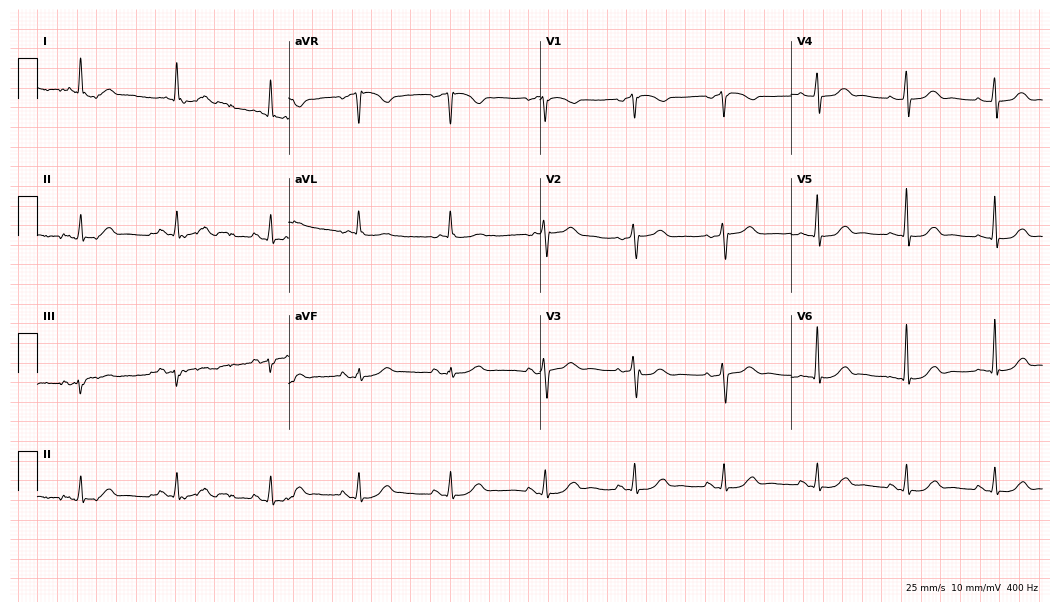
ECG — a female patient, 80 years old. Screened for six findings — first-degree AV block, right bundle branch block (RBBB), left bundle branch block (LBBB), sinus bradycardia, atrial fibrillation (AF), sinus tachycardia — none is recorded. Other findings, if any, are not listed.